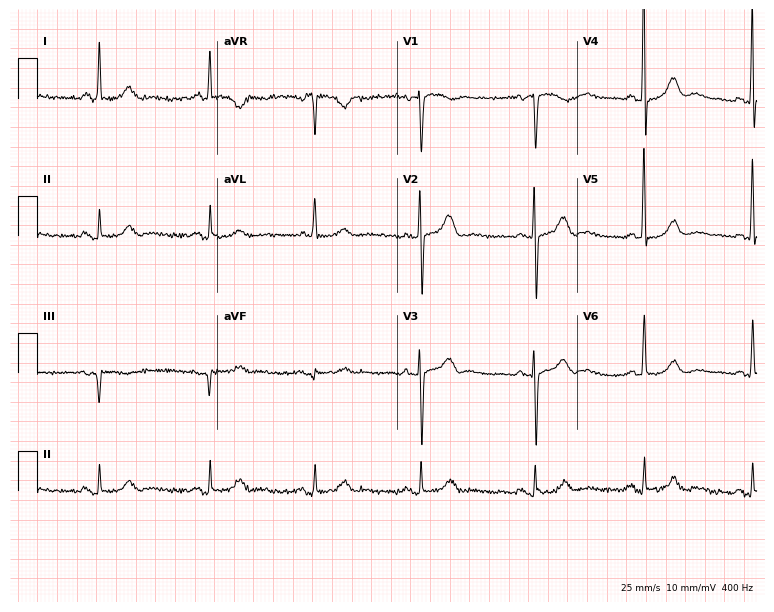
Standard 12-lead ECG recorded from a female, 85 years old (7.3-second recording at 400 Hz). Read as a normal ECG.